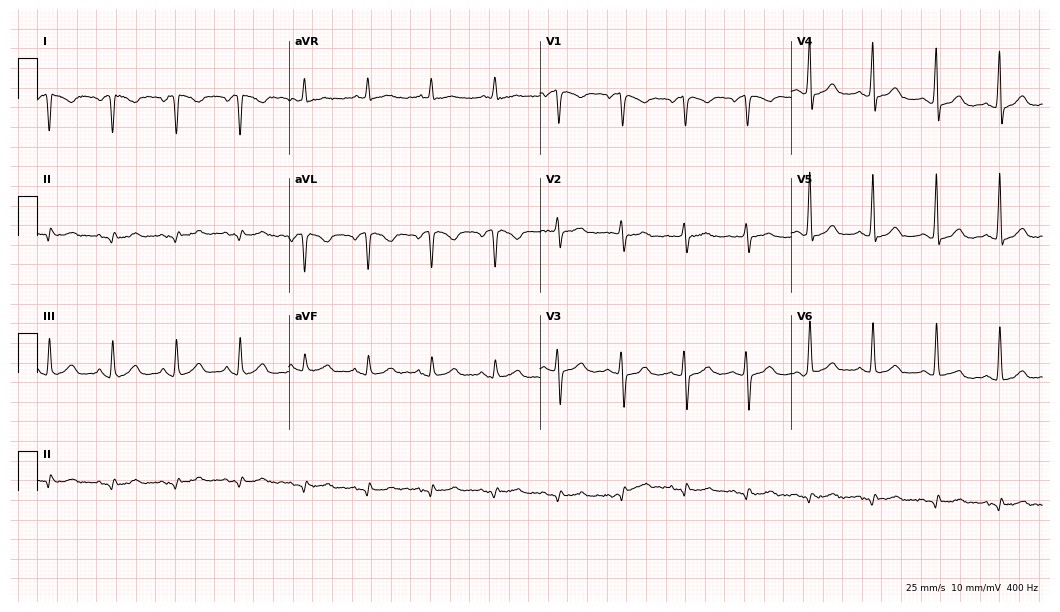
Resting 12-lead electrocardiogram (10.2-second recording at 400 Hz). Patient: a 60-year-old female. None of these six findings is recorded: first-degree AV block, right bundle branch block, left bundle branch block, sinus bradycardia, atrial fibrillation, sinus tachycardia.